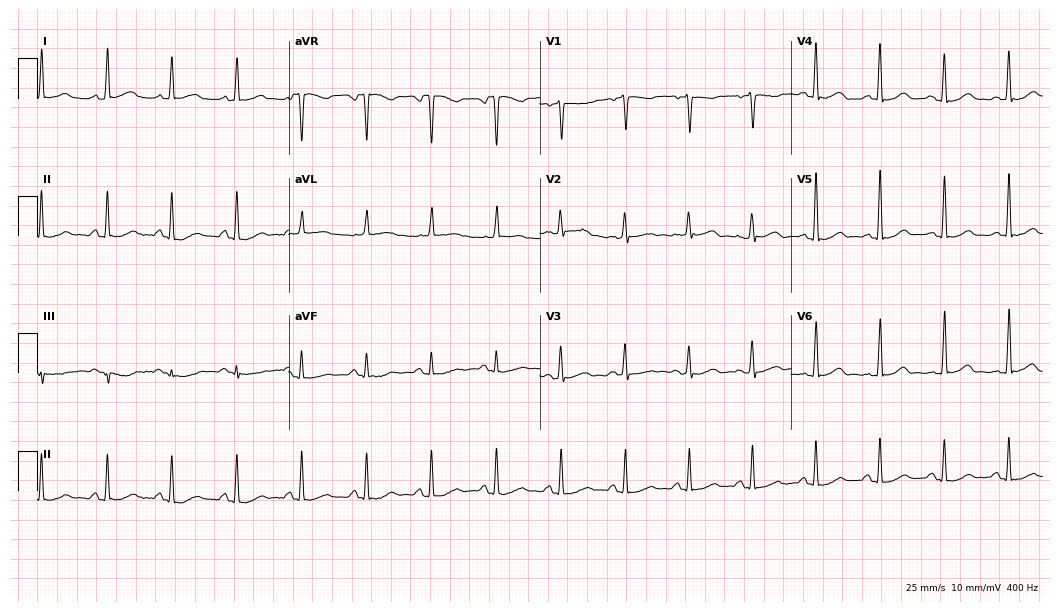
Standard 12-lead ECG recorded from a 48-year-old female. Read as a normal ECG.